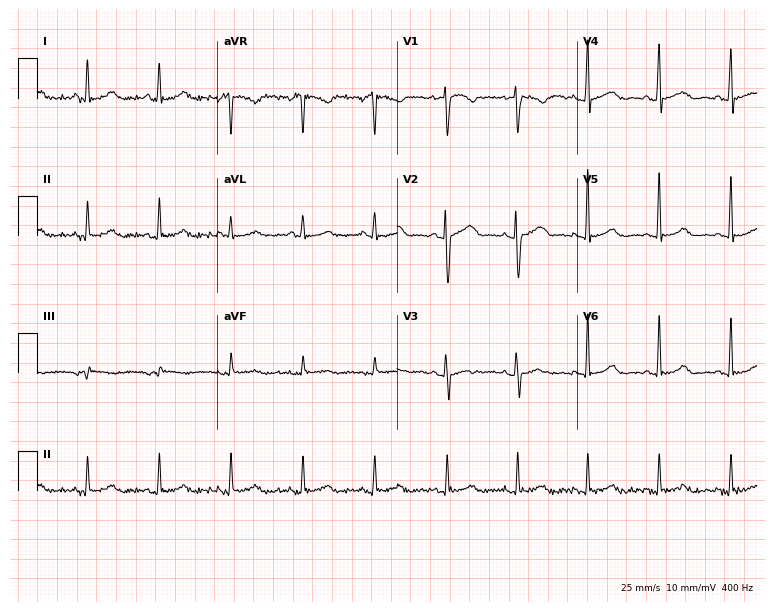
Resting 12-lead electrocardiogram (7.3-second recording at 400 Hz). Patient: a 33-year-old female. Read as a normal ECG.